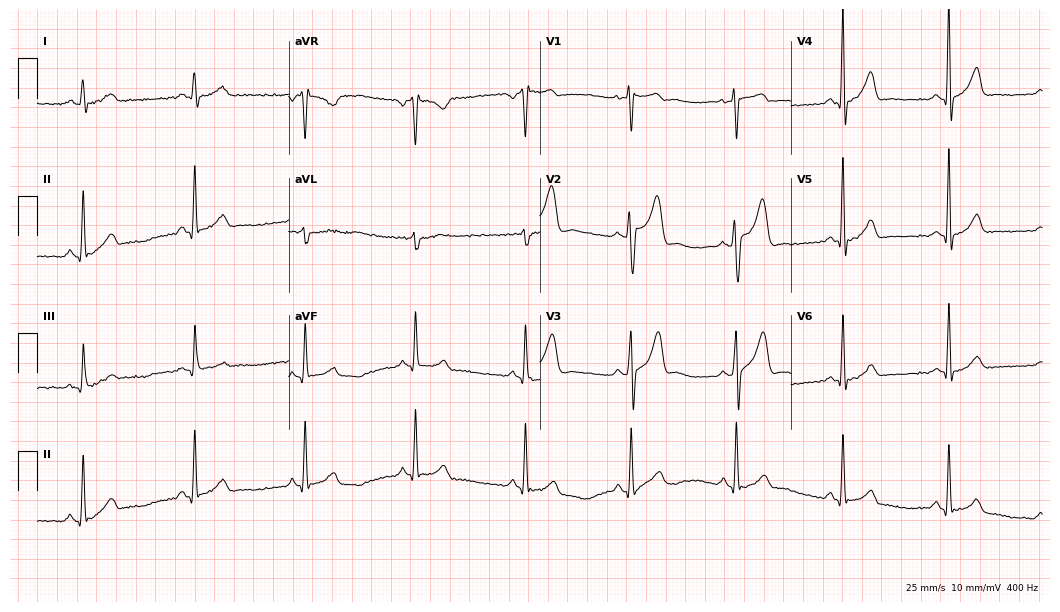
ECG — a male, 53 years old. Labelled as a normal ECG.